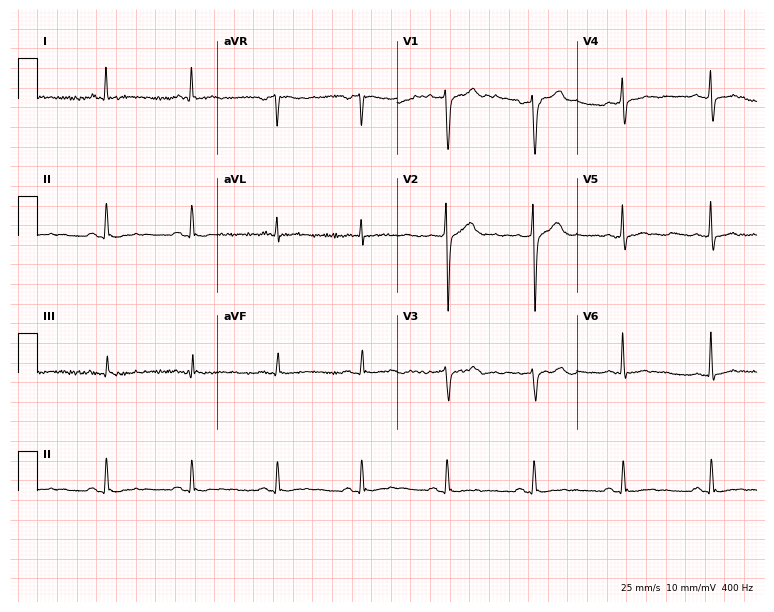
12-lead ECG from a 61-year-old male (7.3-second recording at 400 Hz). Recorded interpretation: within normal limits.